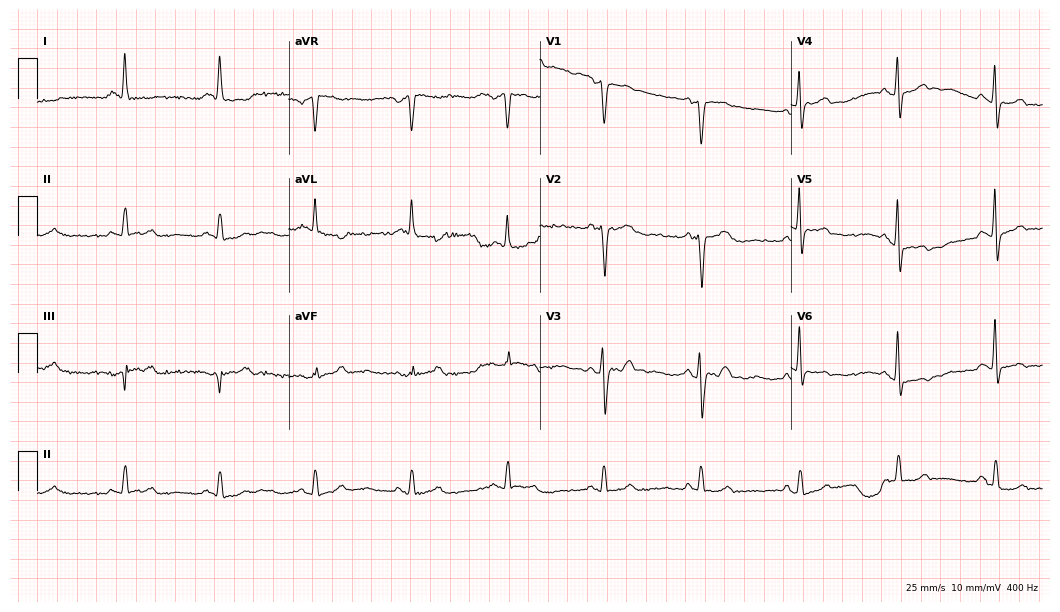
Electrocardiogram, a woman, 83 years old. Of the six screened findings (first-degree AV block, right bundle branch block (RBBB), left bundle branch block (LBBB), sinus bradycardia, atrial fibrillation (AF), sinus tachycardia), none is recorded.